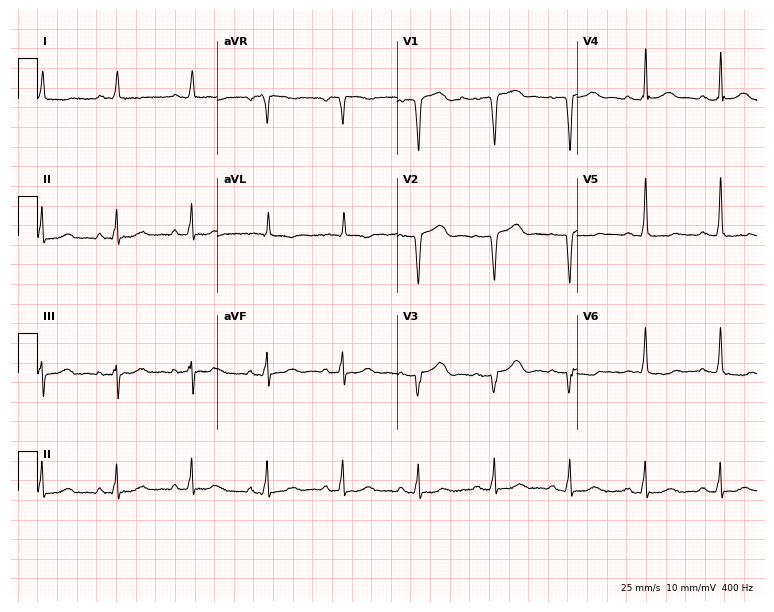
12-lead ECG (7.3-second recording at 400 Hz) from a female patient, 82 years old. Screened for six findings — first-degree AV block, right bundle branch block (RBBB), left bundle branch block (LBBB), sinus bradycardia, atrial fibrillation (AF), sinus tachycardia — none is recorded.